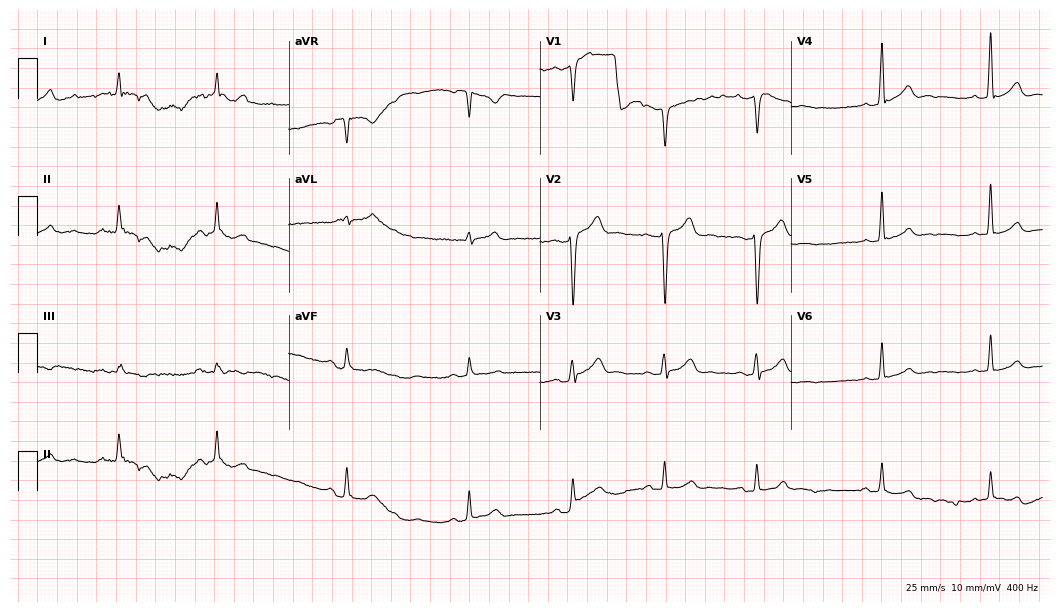
ECG (10.2-second recording at 400 Hz) — a man, 22 years old. Screened for six findings — first-degree AV block, right bundle branch block, left bundle branch block, sinus bradycardia, atrial fibrillation, sinus tachycardia — none is recorded.